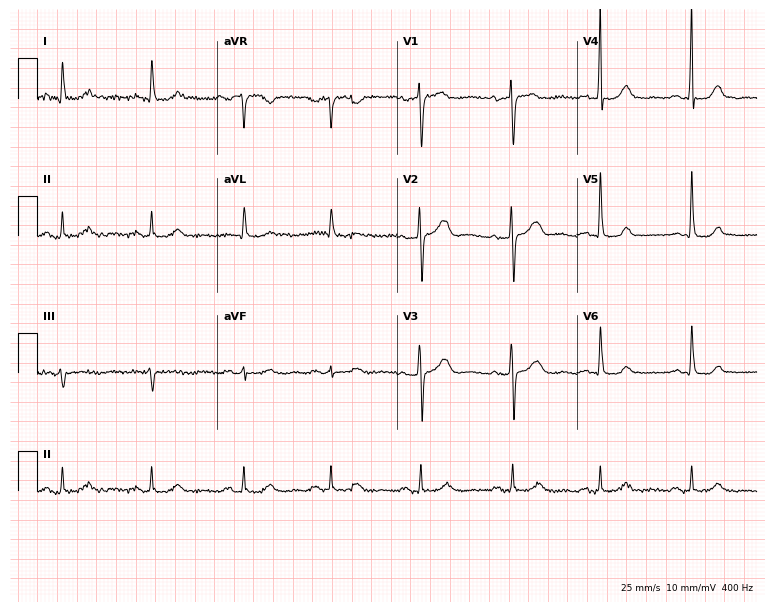
ECG (7.3-second recording at 400 Hz) — an 86-year-old female. Screened for six findings — first-degree AV block, right bundle branch block, left bundle branch block, sinus bradycardia, atrial fibrillation, sinus tachycardia — none is recorded.